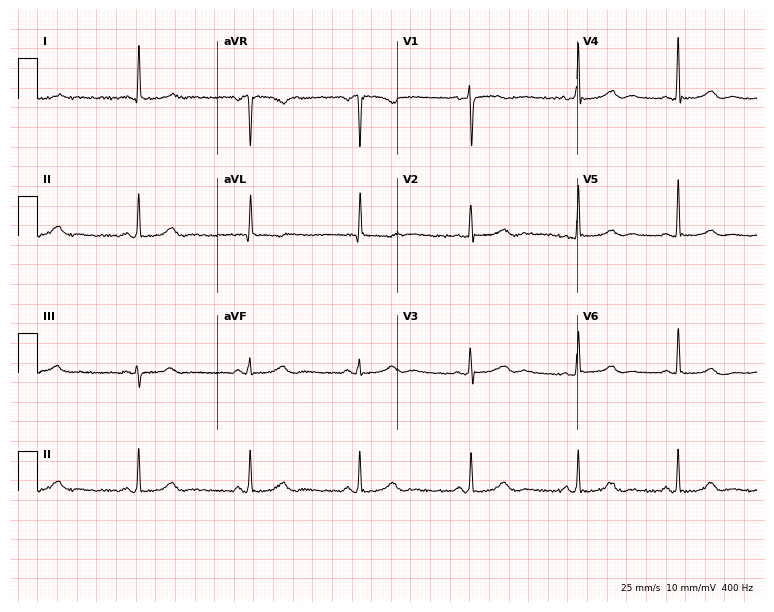
Resting 12-lead electrocardiogram (7.3-second recording at 400 Hz). Patient: a female, 55 years old. Read as a normal ECG.